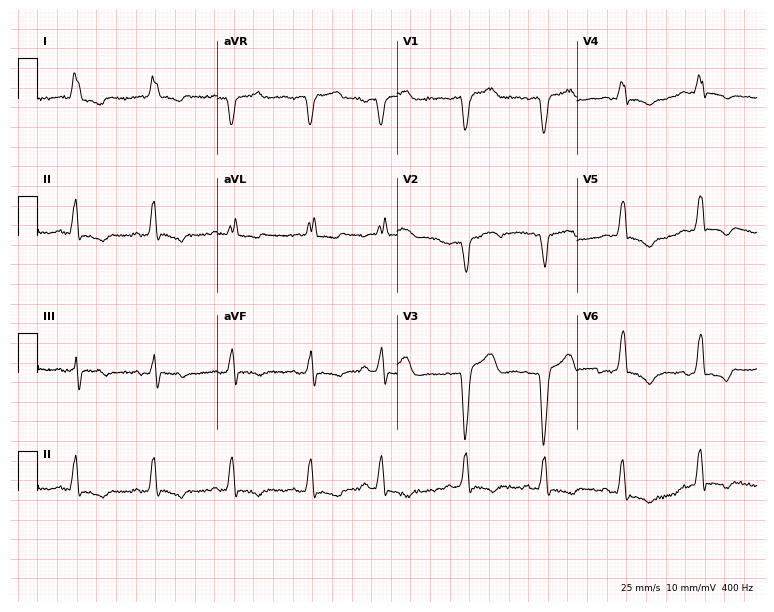
Resting 12-lead electrocardiogram (7.3-second recording at 400 Hz). Patient: a female, 80 years old. The tracing shows left bundle branch block.